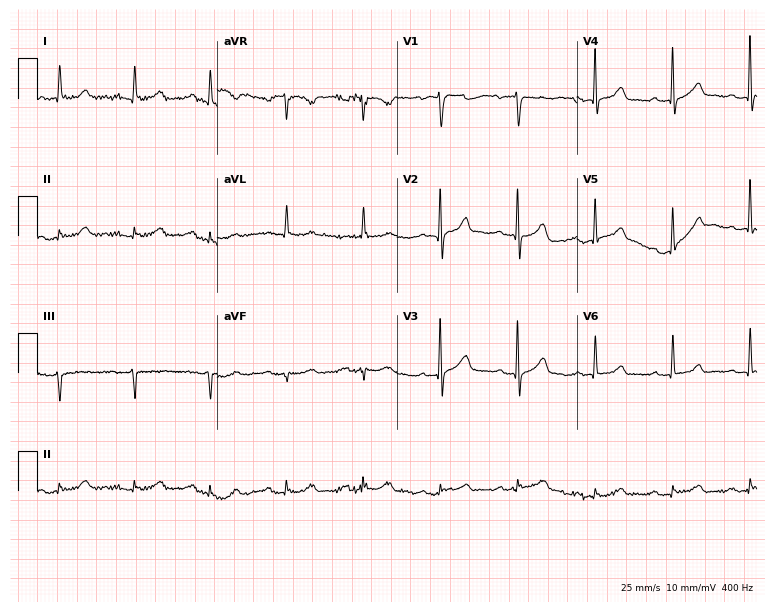
12-lead ECG from an 84-year-old man. No first-degree AV block, right bundle branch block, left bundle branch block, sinus bradycardia, atrial fibrillation or sinus tachycardia recorded for this tracing. Only these six findings were labelled.